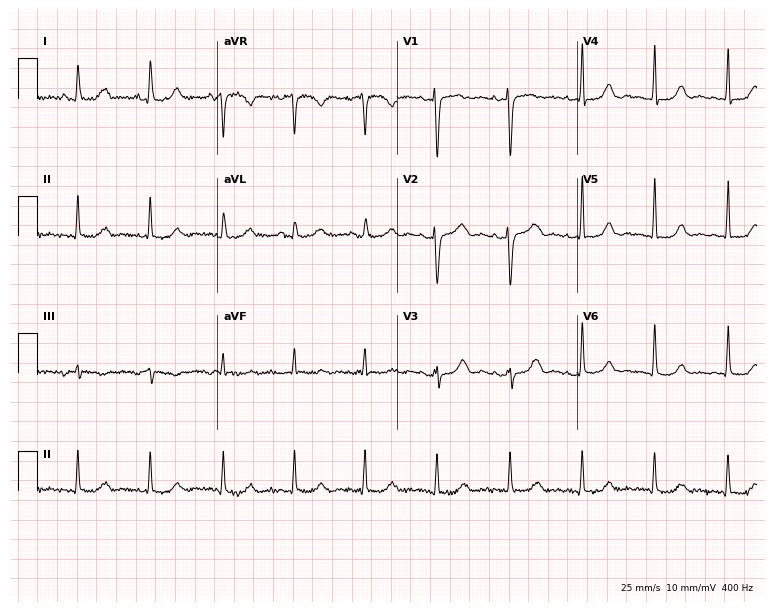
Standard 12-lead ECG recorded from a female, 60 years old (7.3-second recording at 400 Hz). None of these six findings is recorded: first-degree AV block, right bundle branch block (RBBB), left bundle branch block (LBBB), sinus bradycardia, atrial fibrillation (AF), sinus tachycardia.